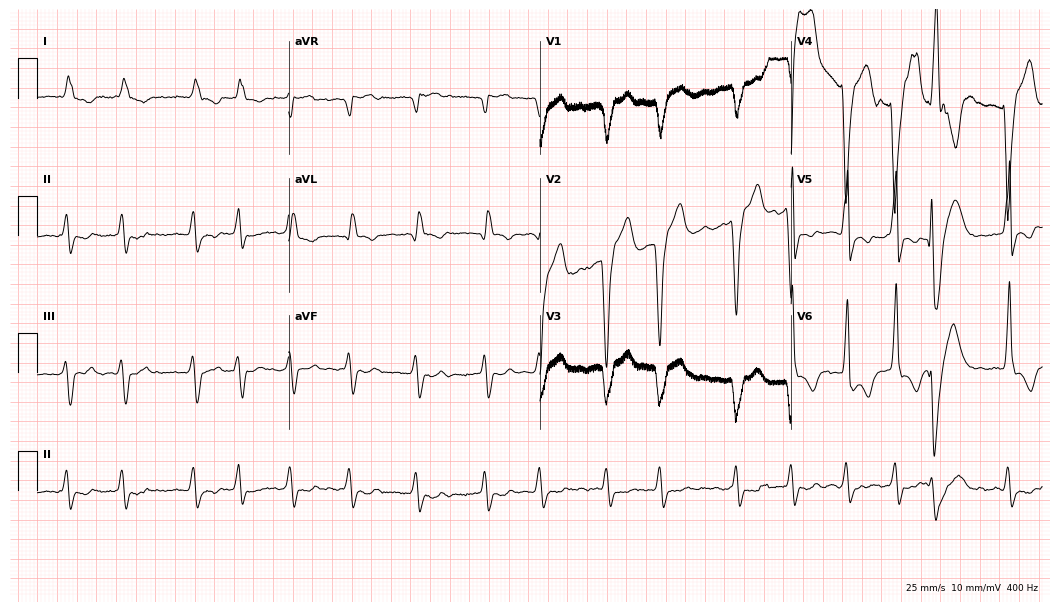
Resting 12-lead electrocardiogram. Patient: a 63-year-old man. The tracing shows left bundle branch block, atrial fibrillation.